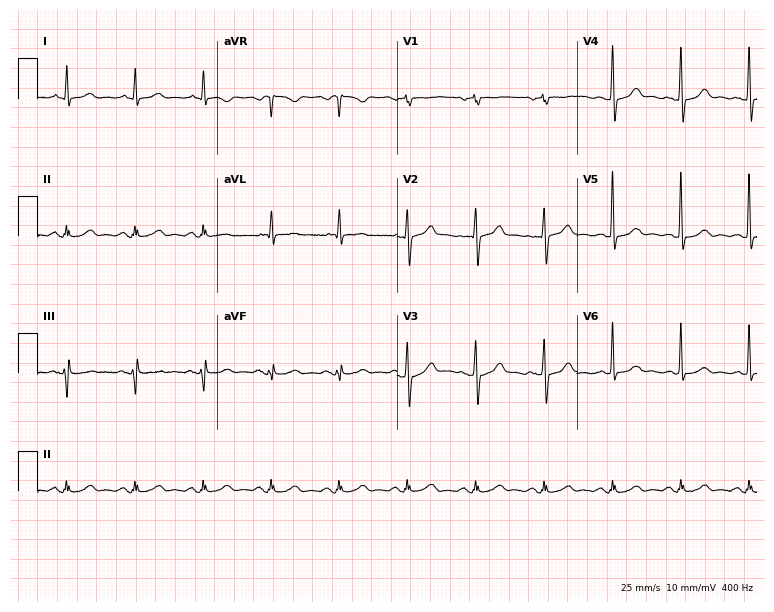
Electrocardiogram (7.3-second recording at 400 Hz), a 68-year-old male. Overall reading on record: normal ECG.